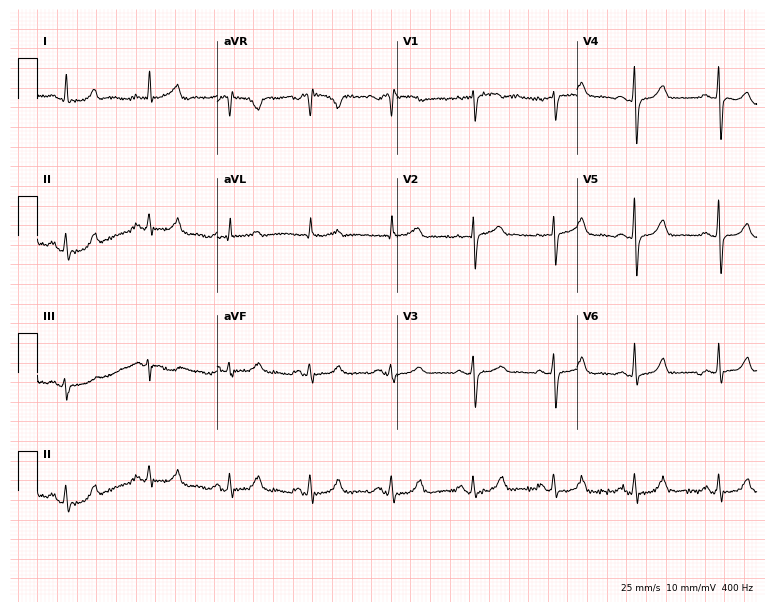
ECG (7.3-second recording at 400 Hz) — a 61-year-old woman. Labelled as a normal ECG.